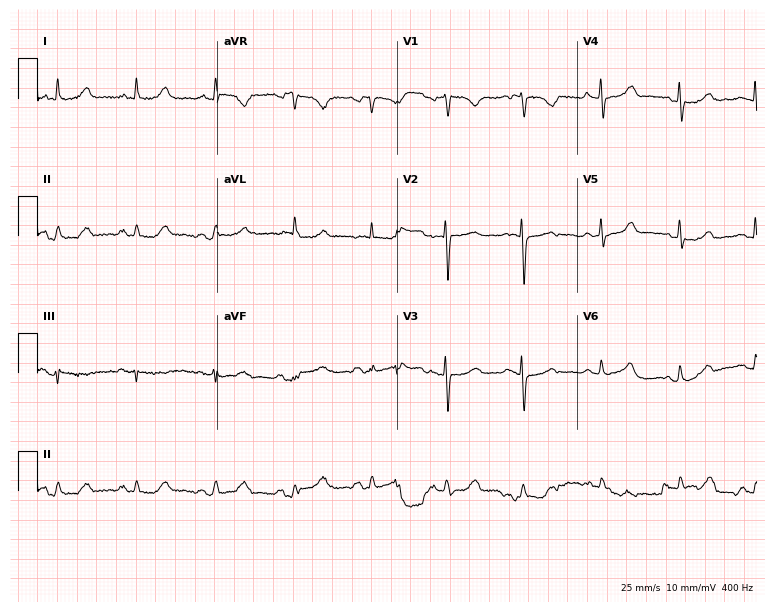
Resting 12-lead electrocardiogram. Patient: a female, 61 years old. None of these six findings is recorded: first-degree AV block, right bundle branch block (RBBB), left bundle branch block (LBBB), sinus bradycardia, atrial fibrillation (AF), sinus tachycardia. Only these six findings were labelled.